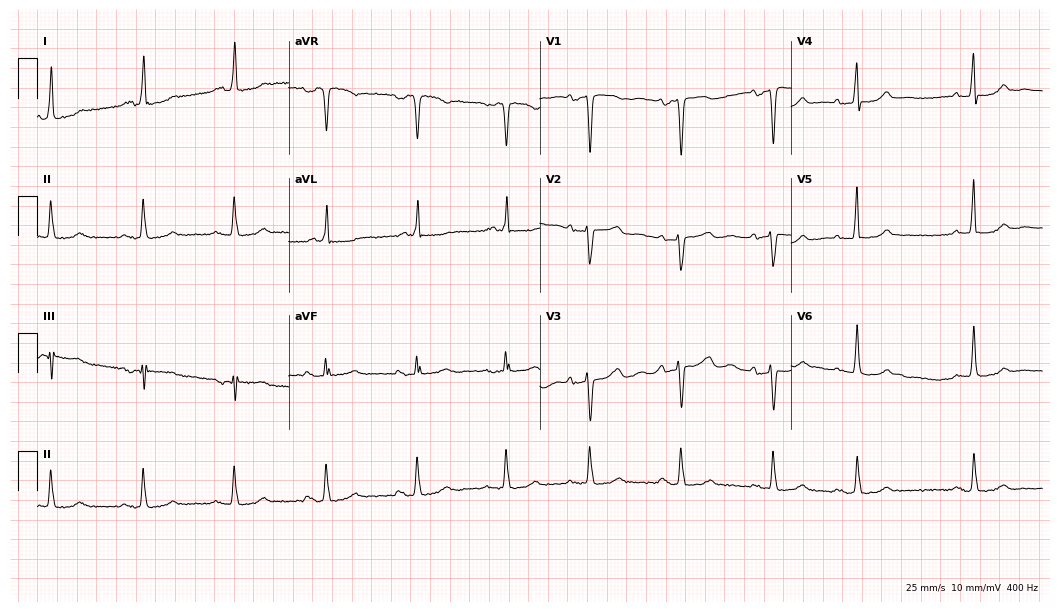
Electrocardiogram (10.2-second recording at 400 Hz), a woman, 59 years old. Of the six screened findings (first-degree AV block, right bundle branch block (RBBB), left bundle branch block (LBBB), sinus bradycardia, atrial fibrillation (AF), sinus tachycardia), none is recorded.